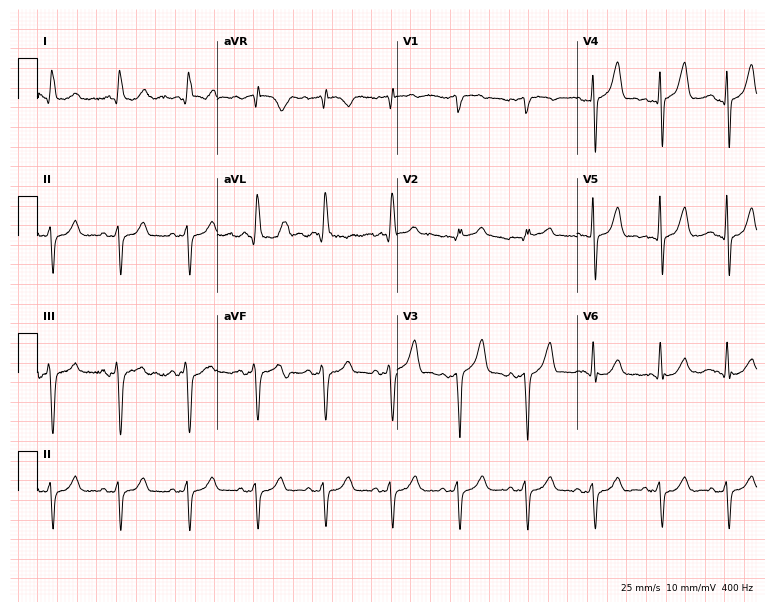
Standard 12-lead ECG recorded from an 82-year-old man. None of these six findings is recorded: first-degree AV block, right bundle branch block, left bundle branch block, sinus bradycardia, atrial fibrillation, sinus tachycardia. Findings outside these six are not listed.